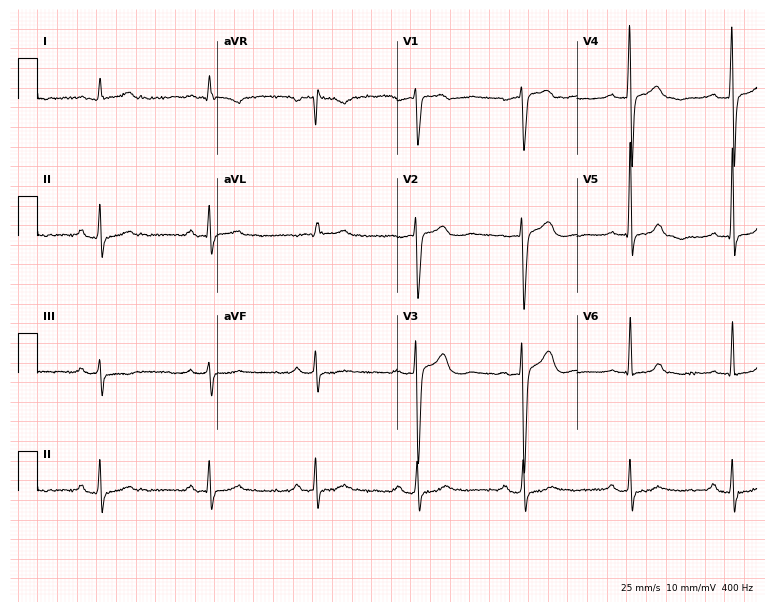
12-lead ECG (7.3-second recording at 400 Hz) from a 62-year-old female. Screened for six findings — first-degree AV block, right bundle branch block (RBBB), left bundle branch block (LBBB), sinus bradycardia, atrial fibrillation (AF), sinus tachycardia — none is recorded. Only these six findings were labelled.